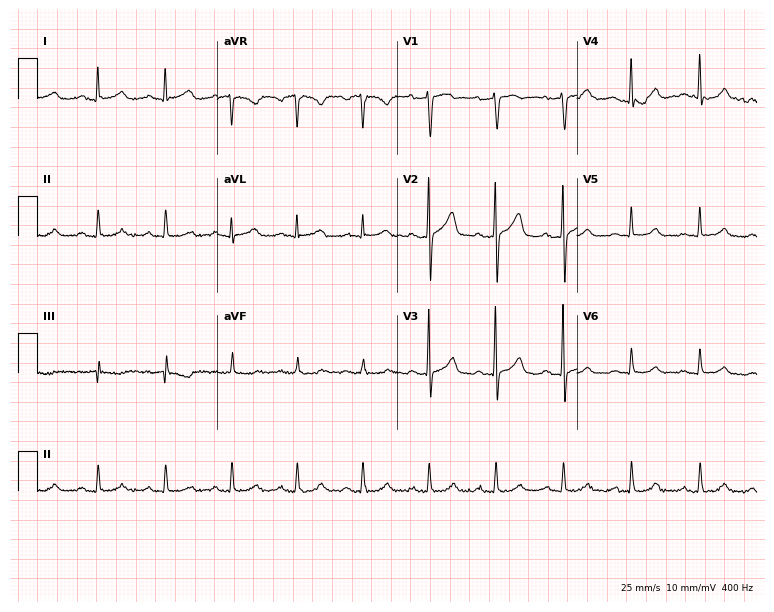
ECG (7.3-second recording at 400 Hz) — a 52-year-old female patient. Labelled as a normal ECG.